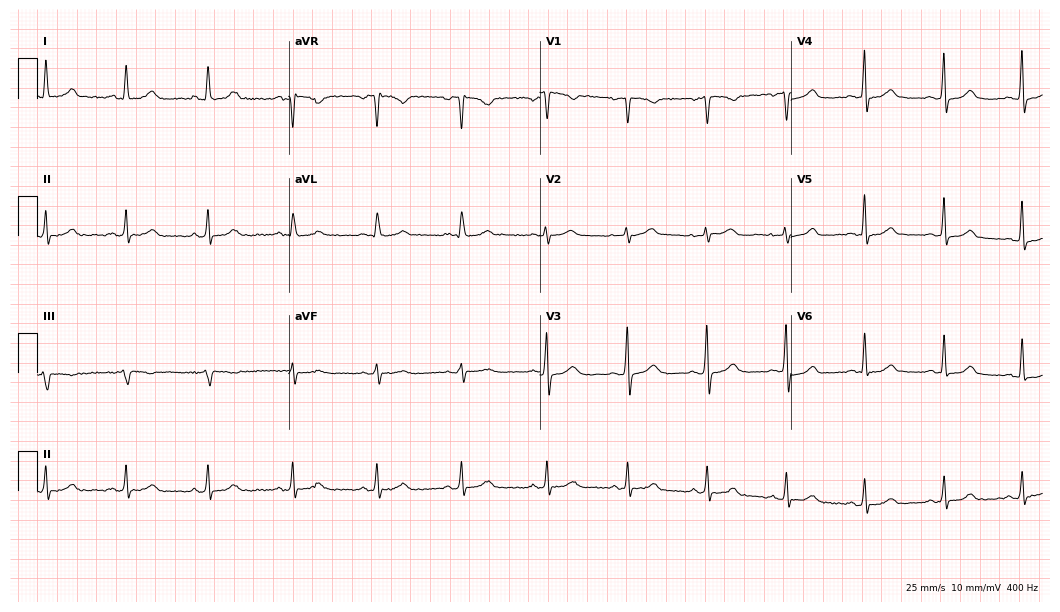
Electrocardiogram, a female, 61 years old. Overall reading on record: normal ECG.